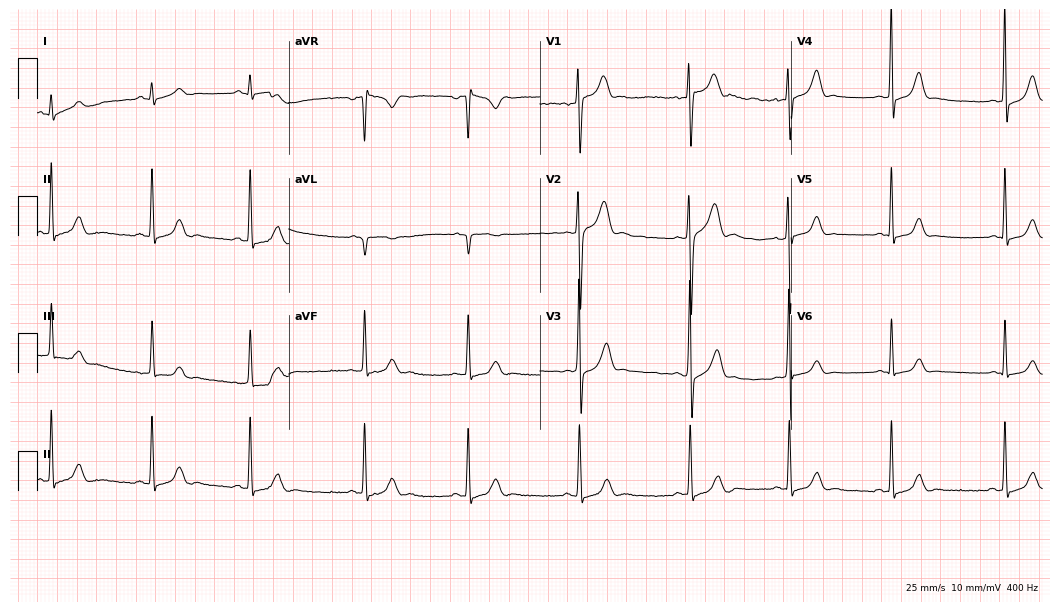
Electrocardiogram, a male, 17 years old. Overall reading on record: normal ECG.